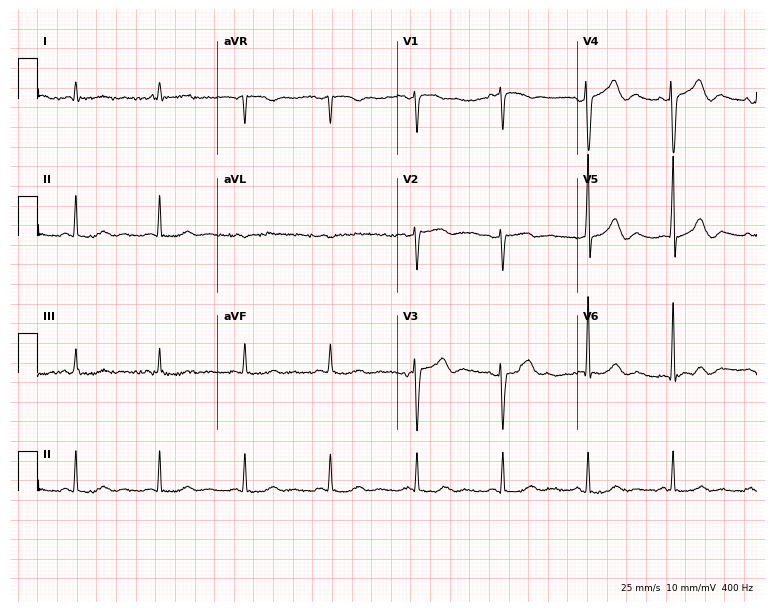
Electrocardiogram, a man, 61 years old. Of the six screened findings (first-degree AV block, right bundle branch block (RBBB), left bundle branch block (LBBB), sinus bradycardia, atrial fibrillation (AF), sinus tachycardia), none is recorded.